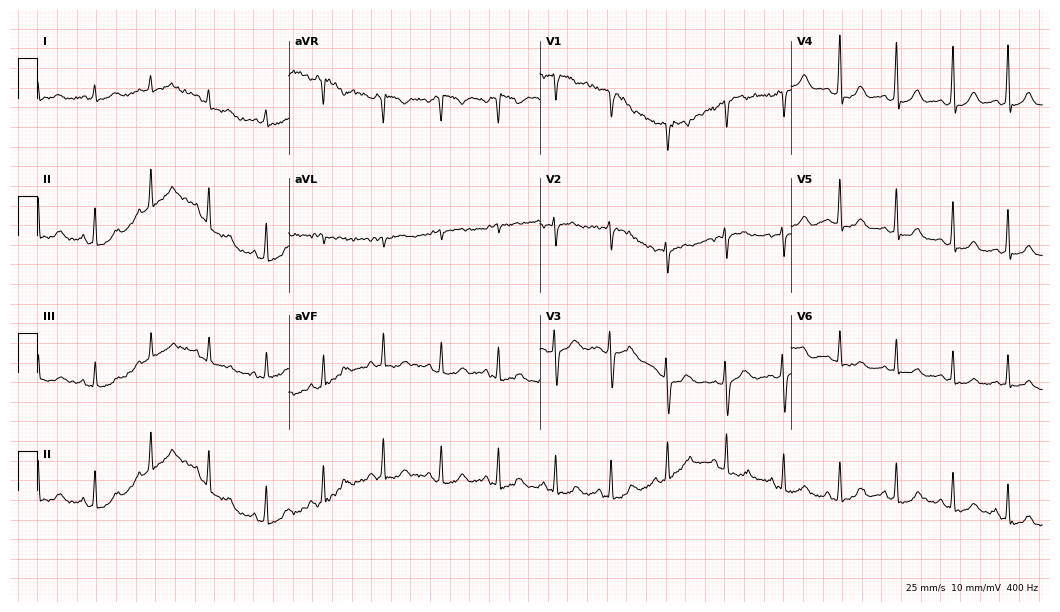
Electrocardiogram, a 20-year-old female patient. Interpretation includes sinus tachycardia (a sinus rate of 100 beats per minute or more).